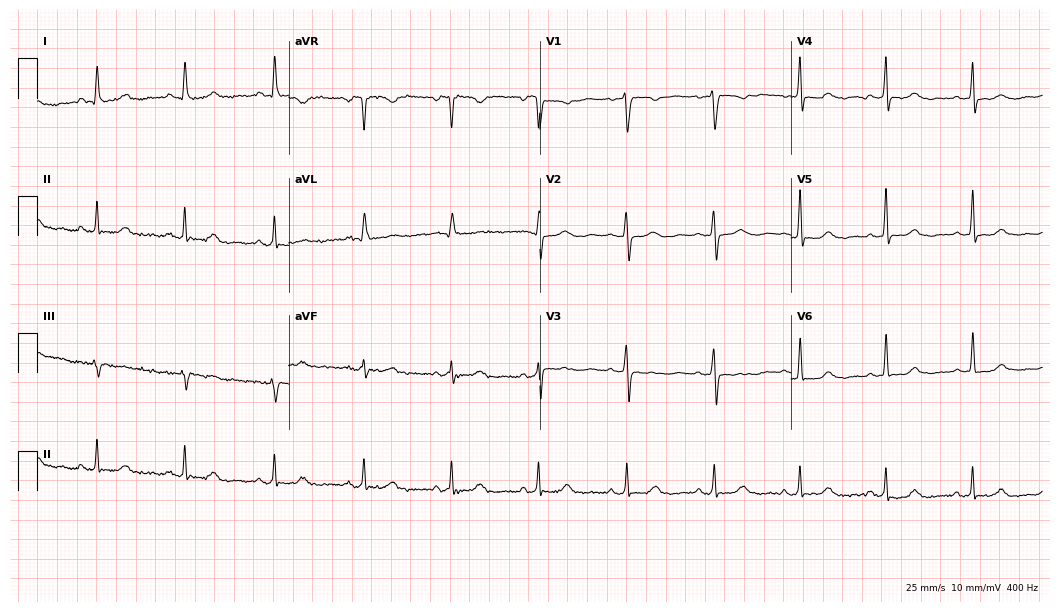
Resting 12-lead electrocardiogram (10.2-second recording at 400 Hz). Patient: a 58-year-old female. None of these six findings is recorded: first-degree AV block, right bundle branch block (RBBB), left bundle branch block (LBBB), sinus bradycardia, atrial fibrillation (AF), sinus tachycardia.